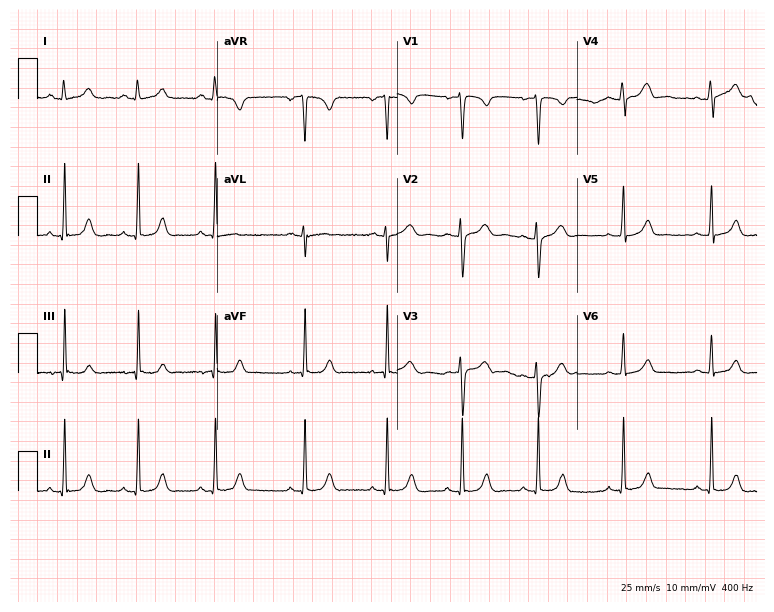
12-lead ECG from a 22-year-old female. Recorded interpretation: within normal limits.